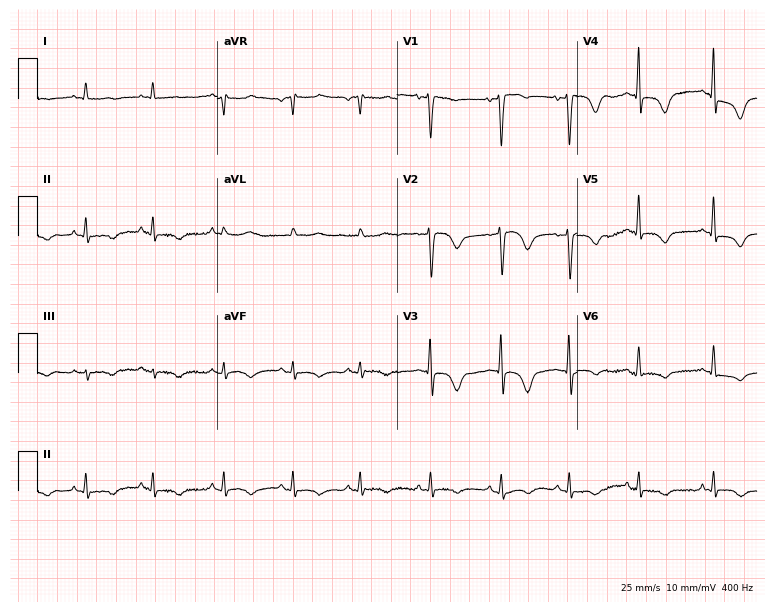
ECG — a female patient, 80 years old. Screened for six findings — first-degree AV block, right bundle branch block, left bundle branch block, sinus bradycardia, atrial fibrillation, sinus tachycardia — none is recorded.